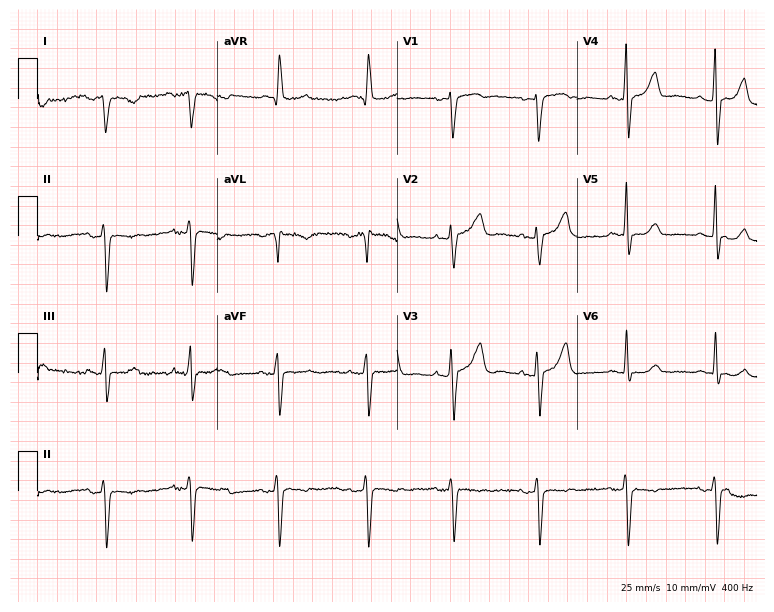
Resting 12-lead electrocardiogram. Patient: a 59-year-old woman. None of these six findings is recorded: first-degree AV block, right bundle branch block, left bundle branch block, sinus bradycardia, atrial fibrillation, sinus tachycardia. Findings outside these six are not listed.